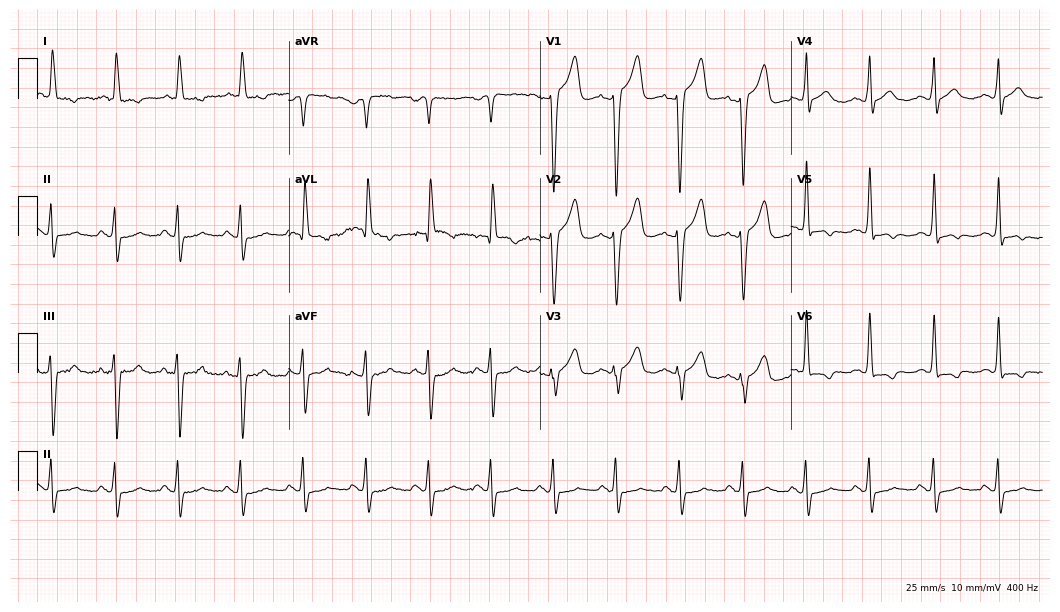
ECG — an 83-year-old male patient. Screened for six findings — first-degree AV block, right bundle branch block (RBBB), left bundle branch block (LBBB), sinus bradycardia, atrial fibrillation (AF), sinus tachycardia — none is recorded.